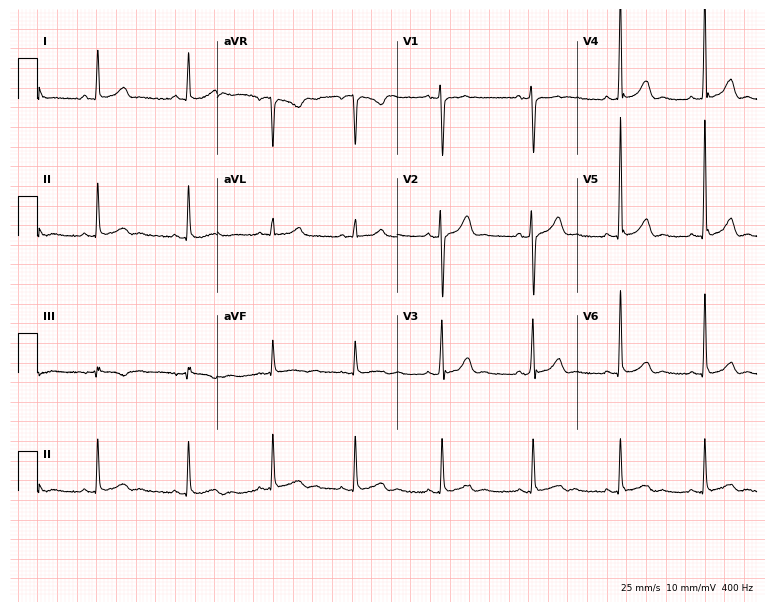
12-lead ECG from a male patient, 40 years old. Recorded interpretation: within normal limits.